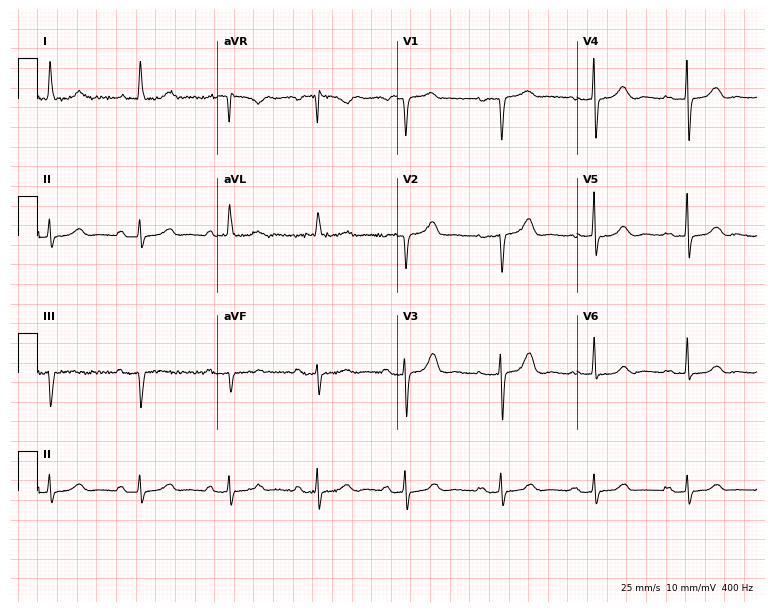
Resting 12-lead electrocardiogram. Patient: an 85-year-old female. The tracing shows first-degree AV block.